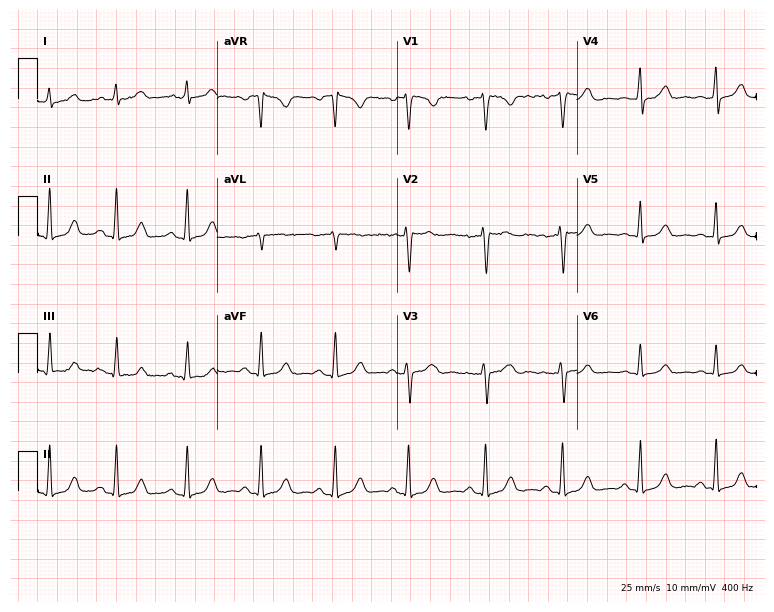
Standard 12-lead ECG recorded from a 45-year-old female. None of these six findings is recorded: first-degree AV block, right bundle branch block (RBBB), left bundle branch block (LBBB), sinus bradycardia, atrial fibrillation (AF), sinus tachycardia.